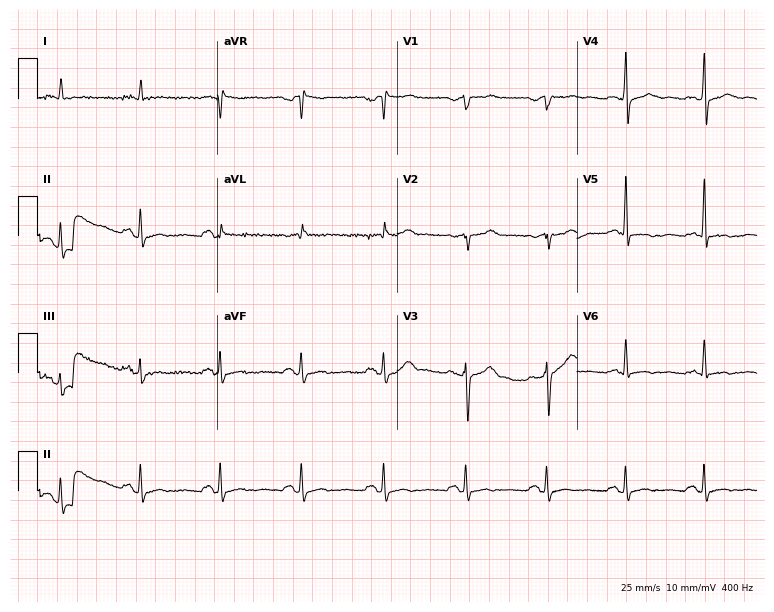
Standard 12-lead ECG recorded from a 76-year-old man. The tracing shows atrial fibrillation (AF).